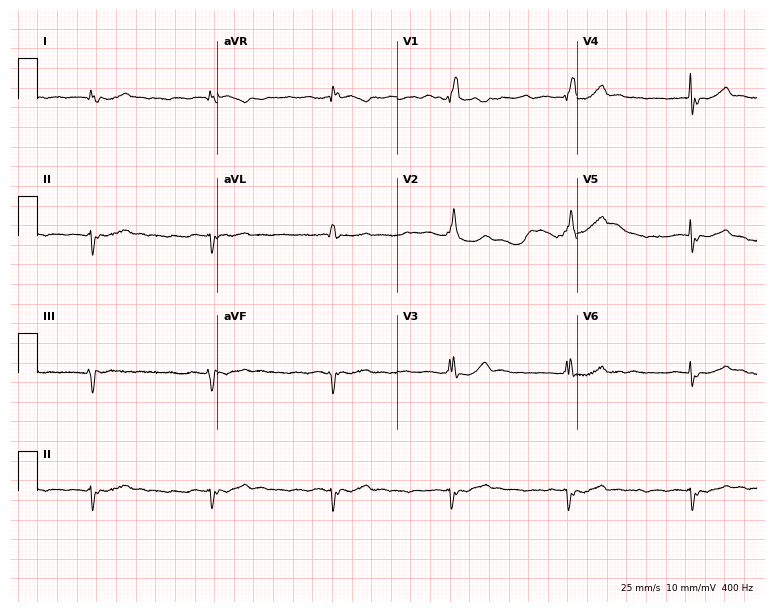
12-lead ECG from an 81-year-old female patient (7.3-second recording at 400 Hz). No first-degree AV block, right bundle branch block, left bundle branch block, sinus bradycardia, atrial fibrillation or sinus tachycardia recorded for this tracing.